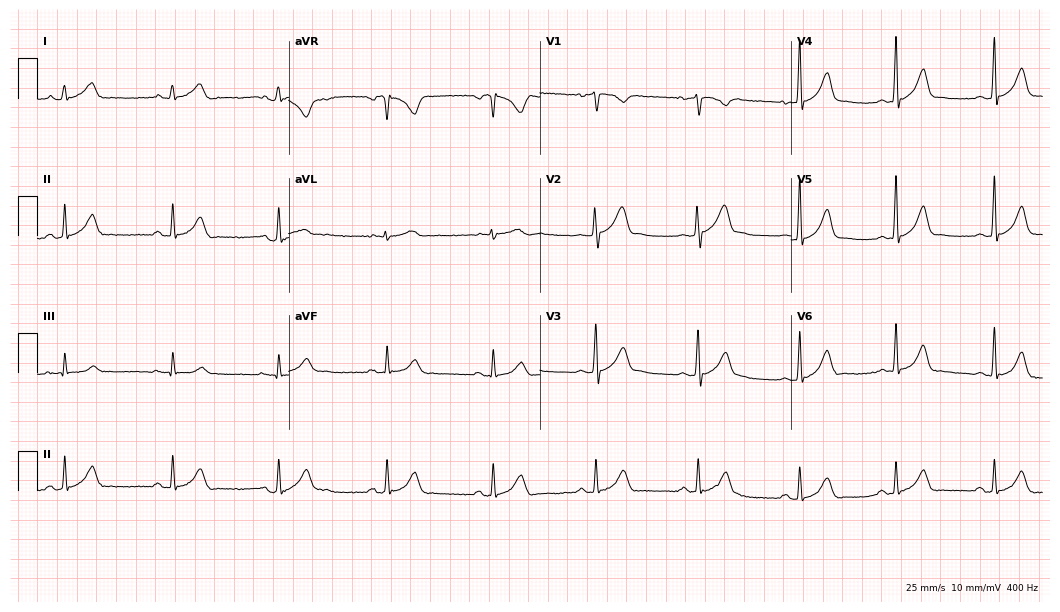
Resting 12-lead electrocardiogram (10.2-second recording at 400 Hz). Patient: a male, 23 years old. Read as a normal ECG.